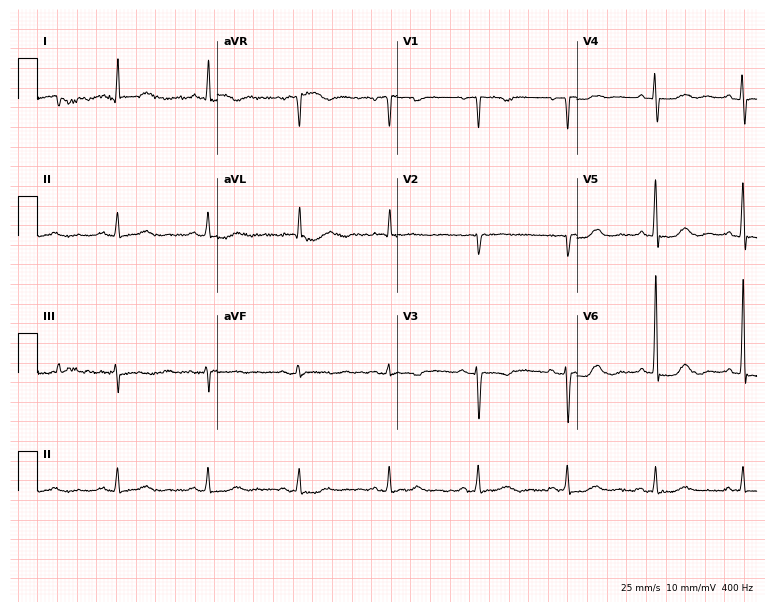
Standard 12-lead ECG recorded from a female, 79 years old (7.3-second recording at 400 Hz). Read as a normal ECG.